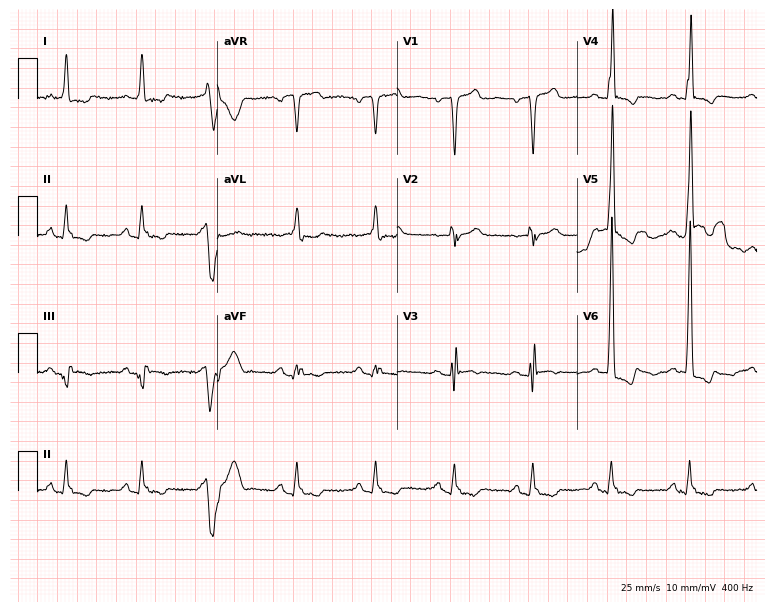
ECG — an 84-year-old male. Screened for six findings — first-degree AV block, right bundle branch block, left bundle branch block, sinus bradycardia, atrial fibrillation, sinus tachycardia — none is recorded. Other findings, if any, are not listed.